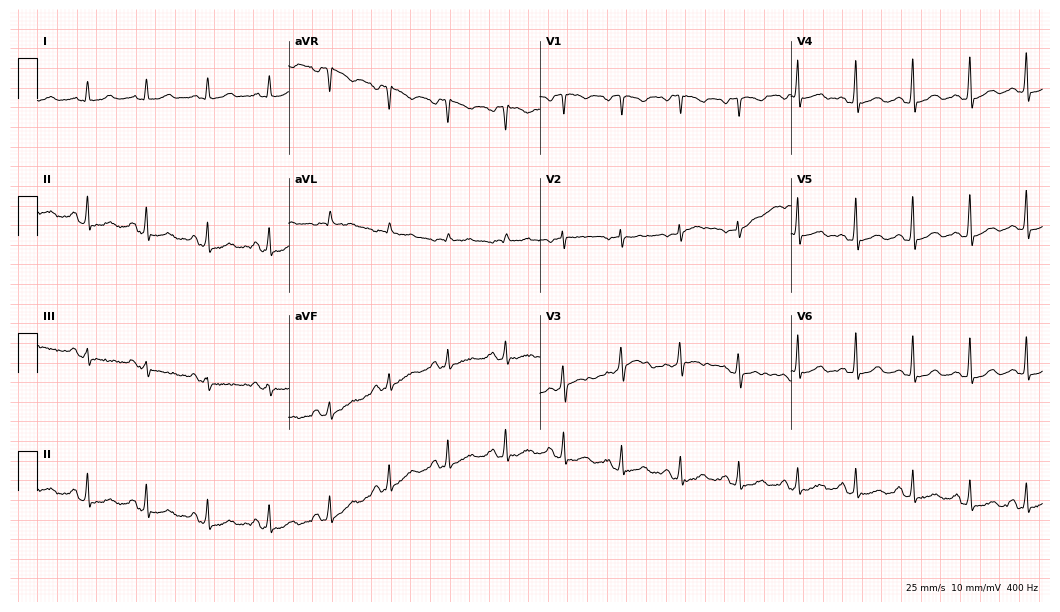
12-lead ECG from a female, 28 years old. No first-degree AV block, right bundle branch block, left bundle branch block, sinus bradycardia, atrial fibrillation or sinus tachycardia recorded for this tracing.